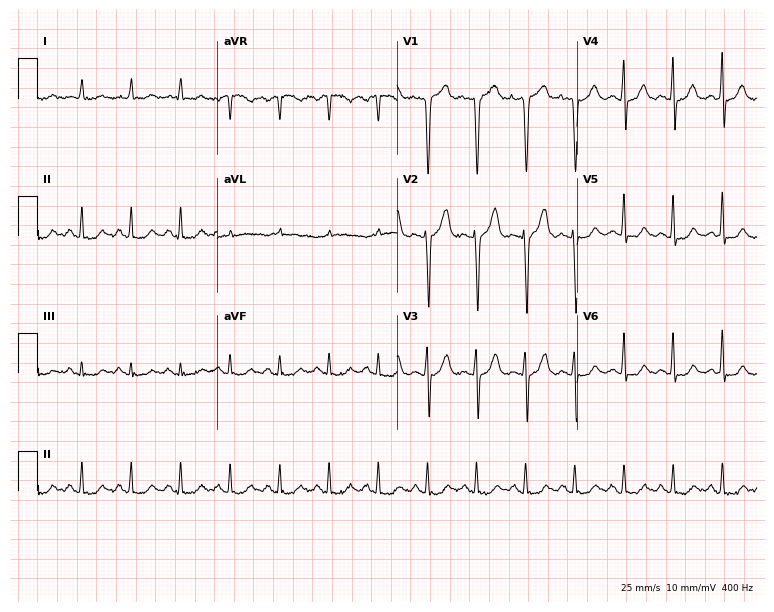
Resting 12-lead electrocardiogram (7.3-second recording at 400 Hz). Patient: a man, 68 years old. The tracing shows sinus tachycardia (a sinus rate of 100 beats per minute or more).